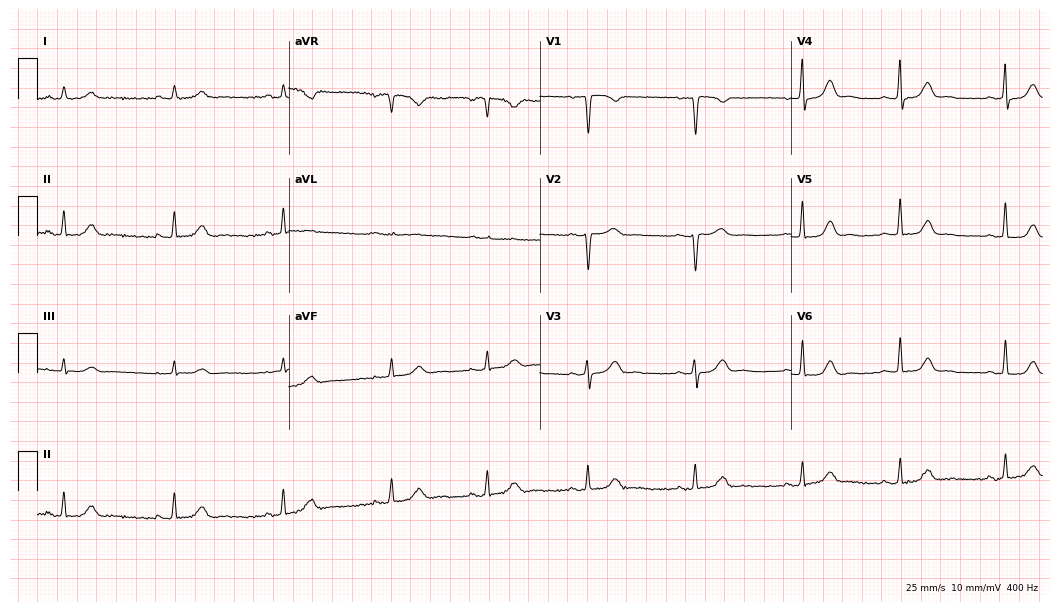
12-lead ECG from a female, 39 years old. No first-degree AV block, right bundle branch block (RBBB), left bundle branch block (LBBB), sinus bradycardia, atrial fibrillation (AF) or sinus tachycardia recorded for this tracing.